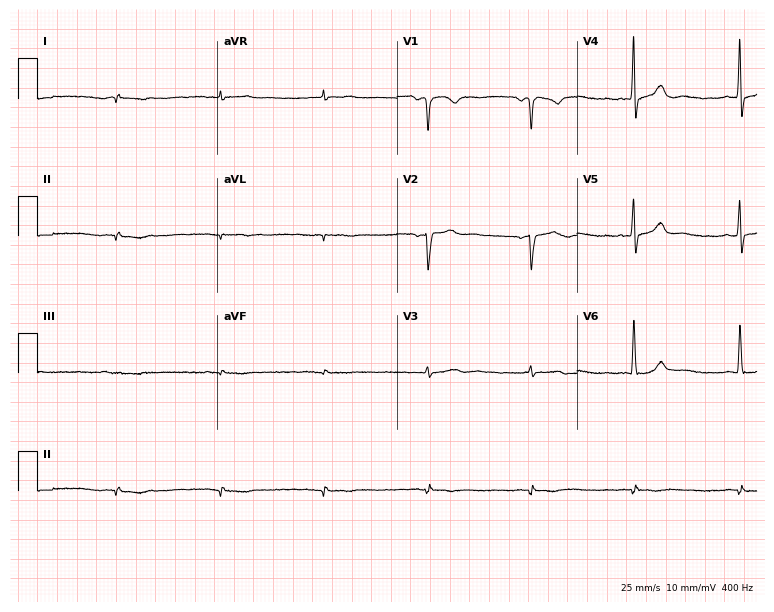
12-lead ECG from a man, 81 years old (7.3-second recording at 400 Hz). No first-degree AV block, right bundle branch block, left bundle branch block, sinus bradycardia, atrial fibrillation or sinus tachycardia recorded for this tracing.